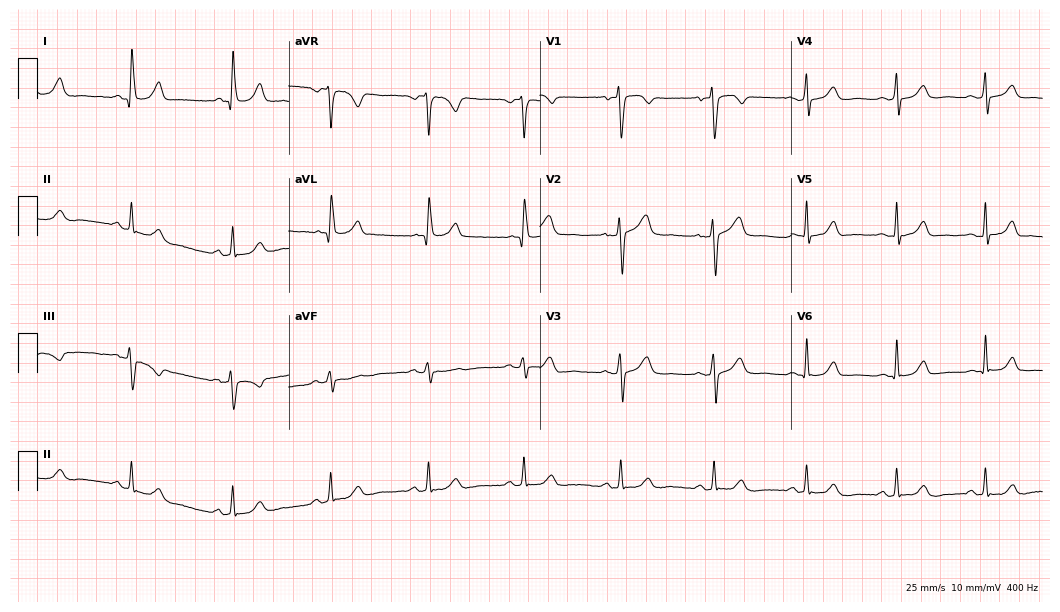
Resting 12-lead electrocardiogram. Patient: a 73-year-old woman. Read as a normal ECG.